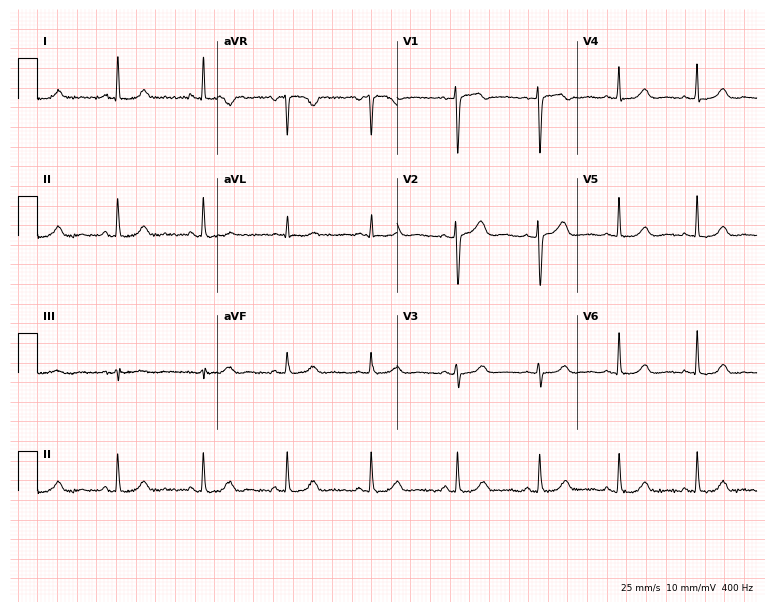
12-lead ECG from a 64-year-old woman (7.3-second recording at 400 Hz). Recorded interpretation: within normal limits.